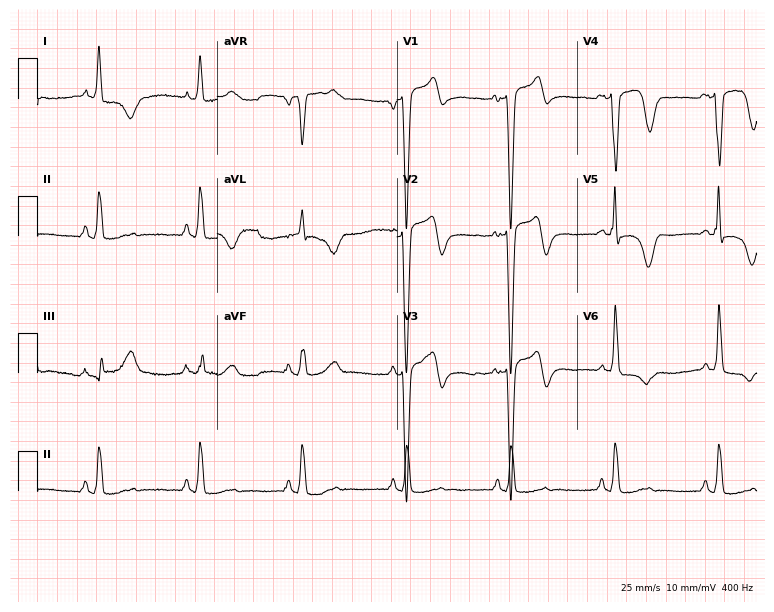
Standard 12-lead ECG recorded from a 59-year-old female (7.3-second recording at 400 Hz). None of these six findings is recorded: first-degree AV block, right bundle branch block, left bundle branch block, sinus bradycardia, atrial fibrillation, sinus tachycardia. Only these six findings were labelled.